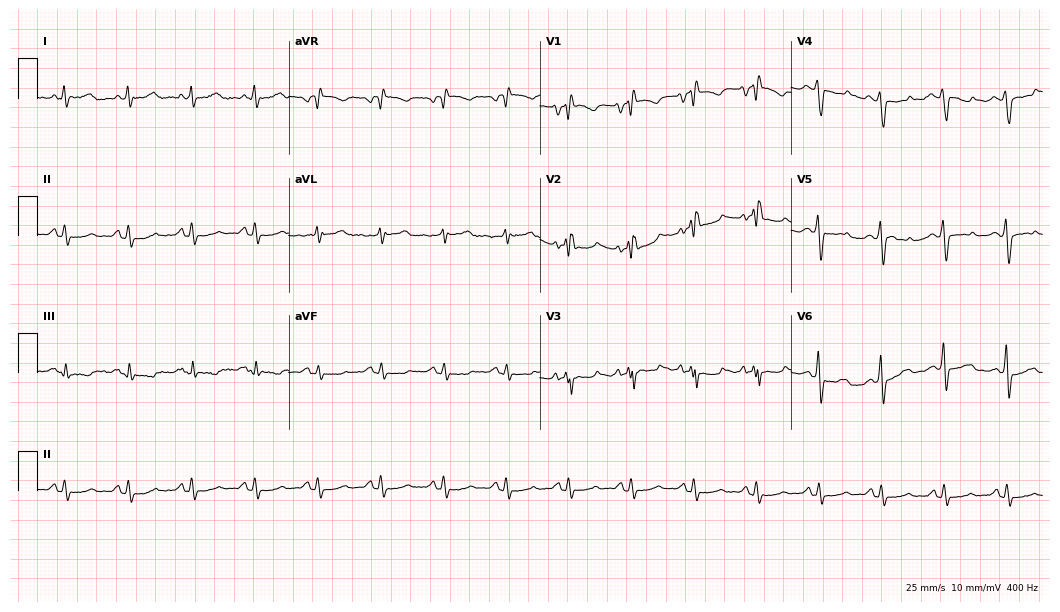
Electrocardiogram, a 62-year-old man. Of the six screened findings (first-degree AV block, right bundle branch block (RBBB), left bundle branch block (LBBB), sinus bradycardia, atrial fibrillation (AF), sinus tachycardia), none is recorded.